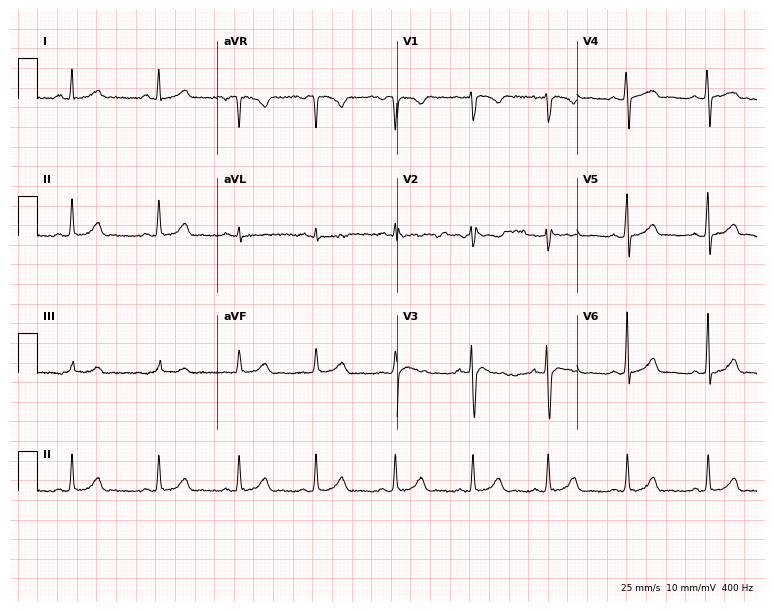
ECG — a woman, 29 years old. Labelled as a normal ECG.